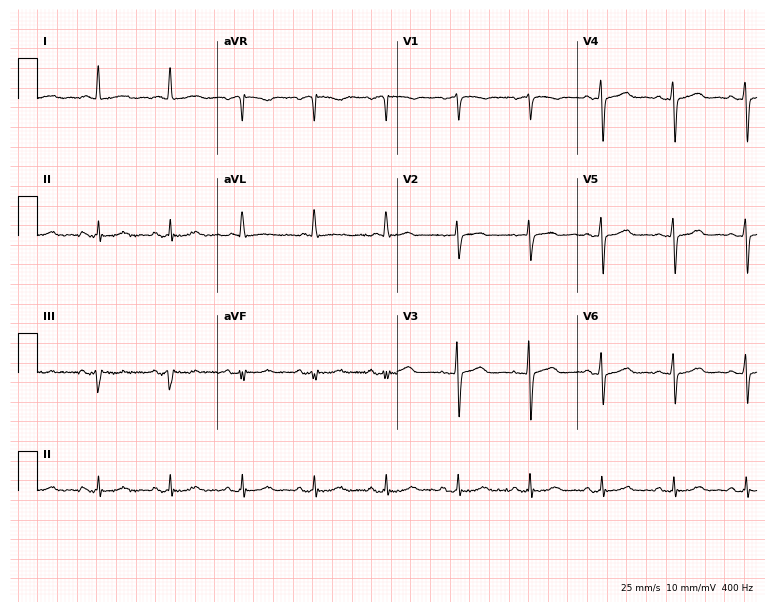
12-lead ECG (7.3-second recording at 400 Hz) from a 78-year-old female patient. Screened for six findings — first-degree AV block, right bundle branch block, left bundle branch block, sinus bradycardia, atrial fibrillation, sinus tachycardia — none is recorded.